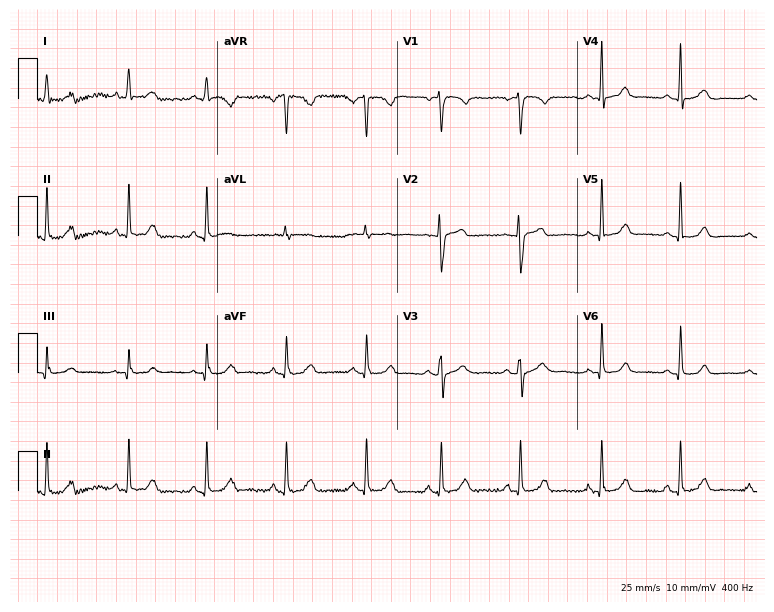
ECG (7.3-second recording at 400 Hz) — a female, 23 years old. Labelled as a normal ECG.